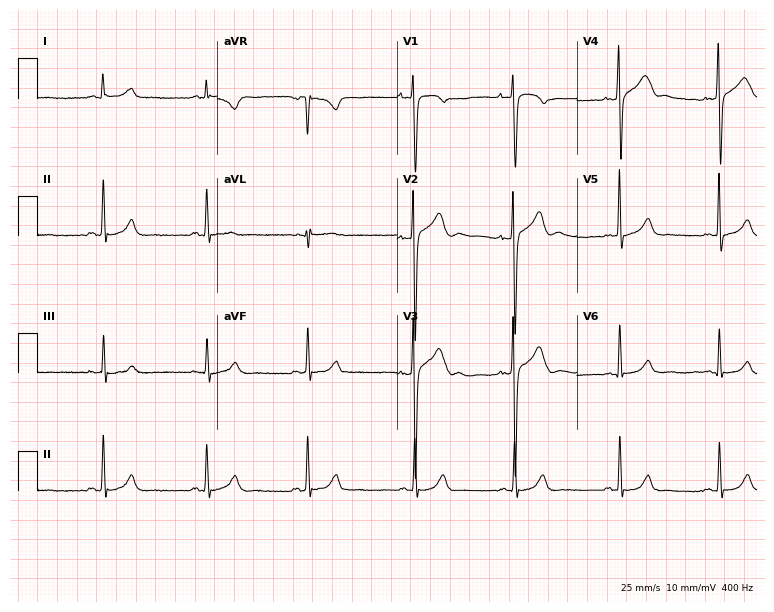
Resting 12-lead electrocardiogram. Patient: a male, 23 years old. None of these six findings is recorded: first-degree AV block, right bundle branch block, left bundle branch block, sinus bradycardia, atrial fibrillation, sinus tachycardia.